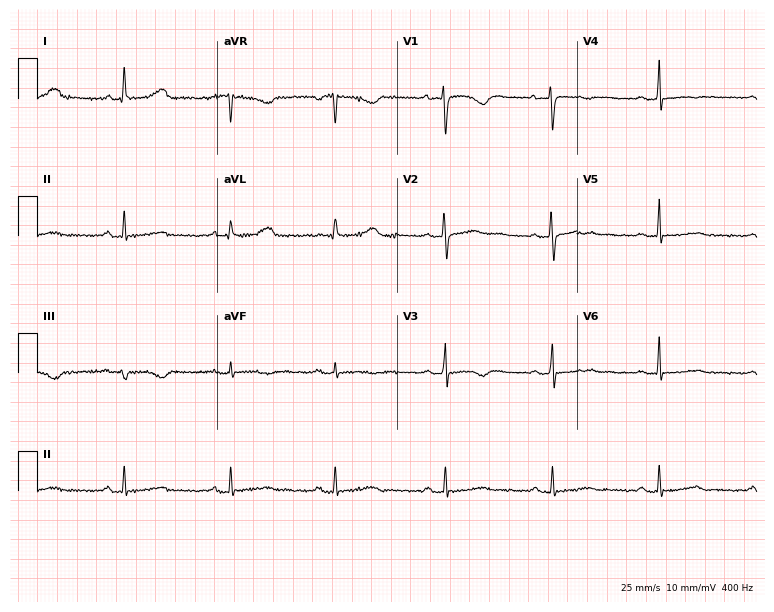
12-lead ECG from a woman, 29 years old. No first-degree AV block, right bundle branch block (RBBB), left bundle branch block (LBBB), sinus bradycardia, atrial fibrillation (AF) or sinus tachycardia recorded for this tracing.